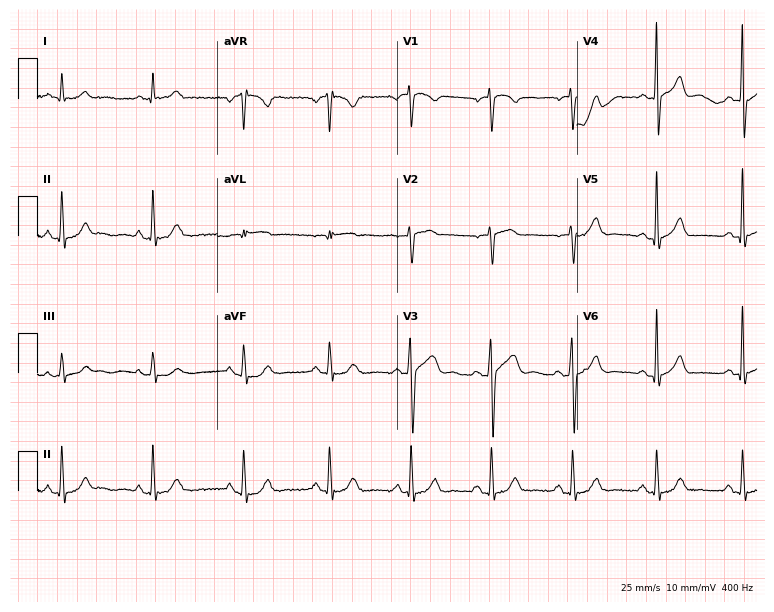
Electrocardiogram (7.3-second recording at 400 Hz), a male, 55 years old. Overall reading on record: normal ECG.